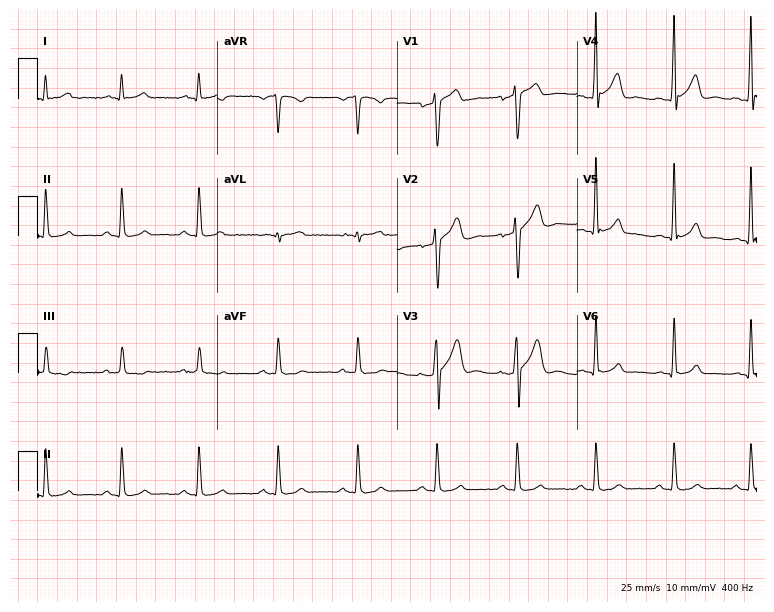
Electrocardiogram, a 34-year-old man. Of the six screened findings (first-degree AV block, right bundle branch block, left bundle branch block, sinus bradycardia, atrial fibrillation, sinus tachycardia), none is recorded.